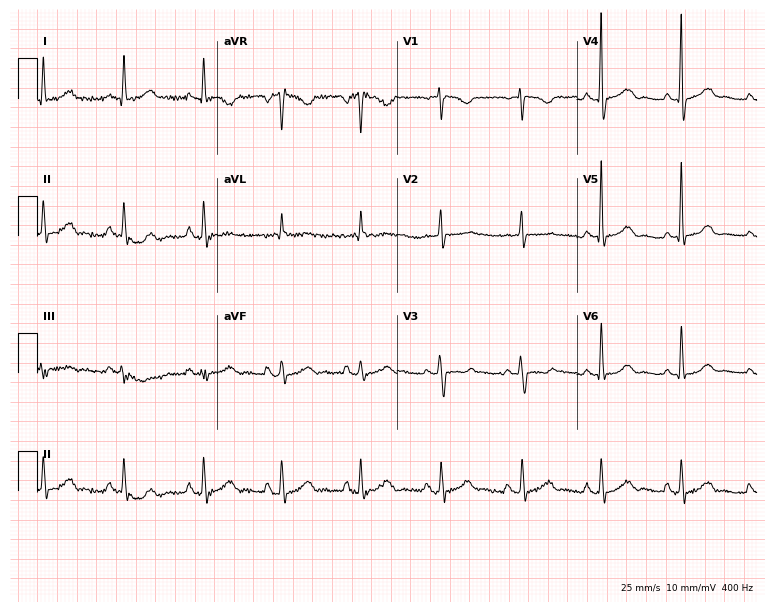
ECG — a female, 58 years old. Labelled as a normal ECG.